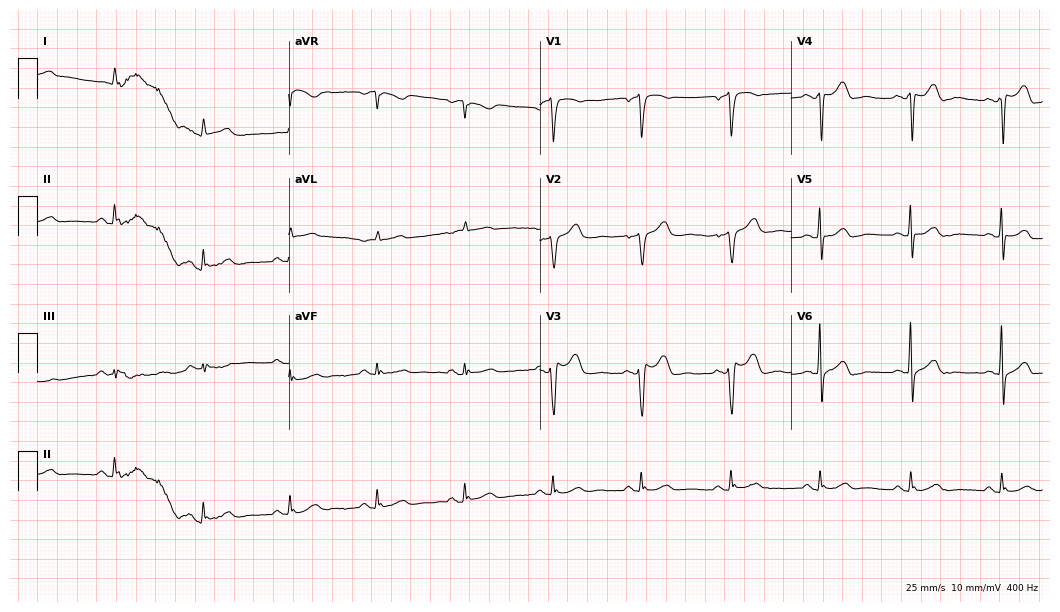
Standard 12-lead ECG recorded from a 77-year-old male (10.2-second recording at 400 Hz). Read as a normal ECG.